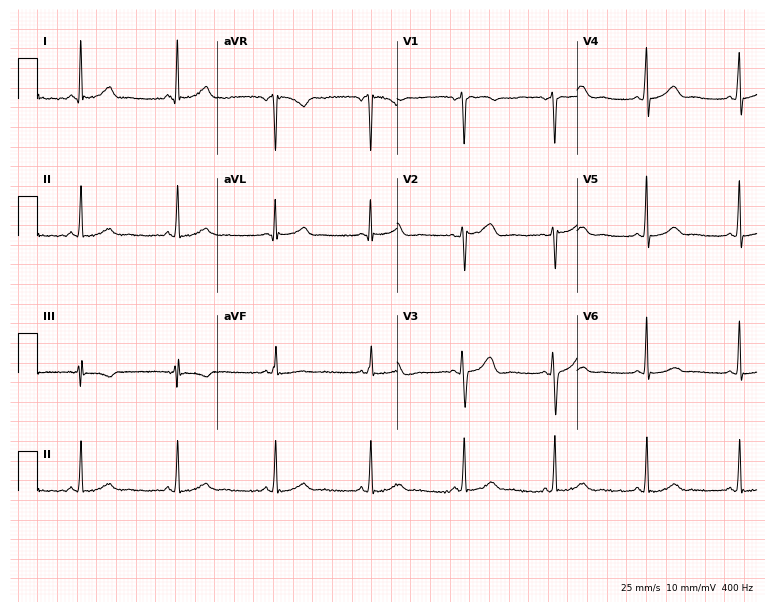
Electrocardiogram (7.3-second recording at 400 Hz), a female patient, 36 years old. Of the six screened findings (first-degree AV block, right bundle branch block, left bundle branch block, sinus bradycardia, atrial fibrillation, sinus tachycardia), none is recorded.